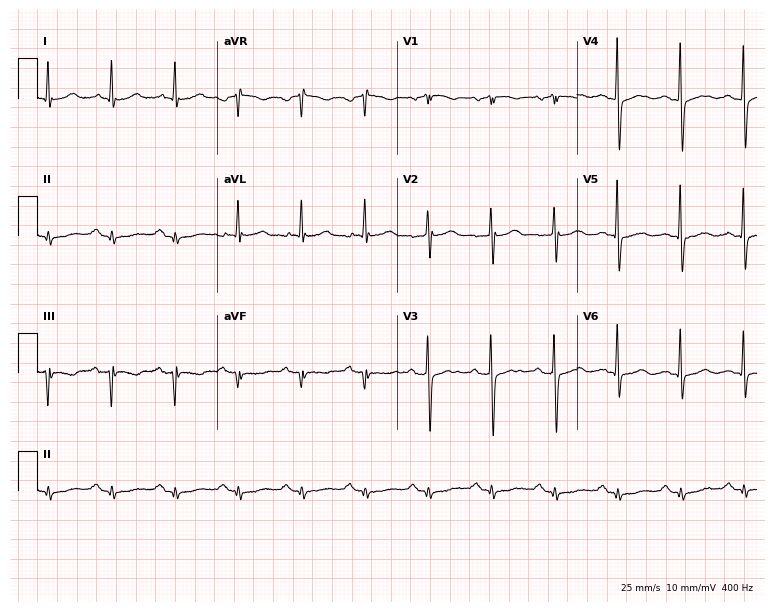
12-lead ECG from an 82-year-old female. Labelled as a normal ECG.